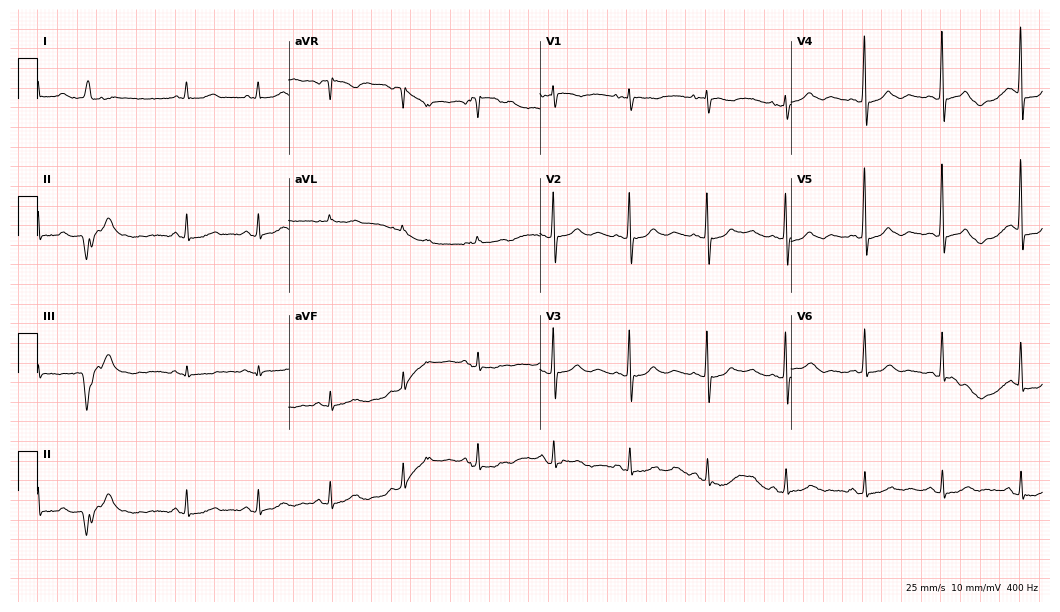
12-lead ECG from an 80-year-old female. No first-degree AV block, right bundle branch block (RBBB), left bundle branch block (LBBB), sinus bradycardia, atrial fibrillation (AF) or sinus tachycardia recorded for this tracing. Only these six findings were labelled.